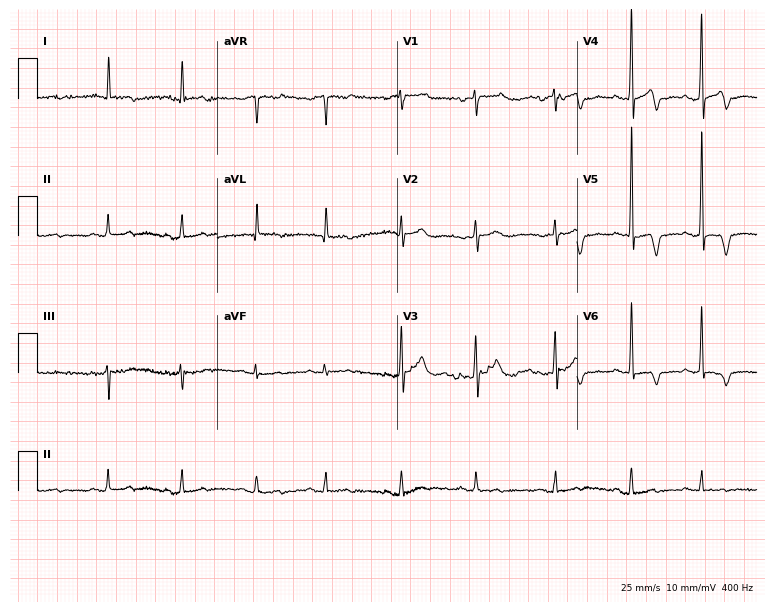
12-lead ECG (7.3-second recording at 400 Hz) from a man, 85 years old. Screened for six findings — first-degree AV block, right bundle branch block (RBBB), left bundle branch block (LBBB), sinus bradycardia, atrial fibrillation (AF), sinus tachycardia — none is recorded.